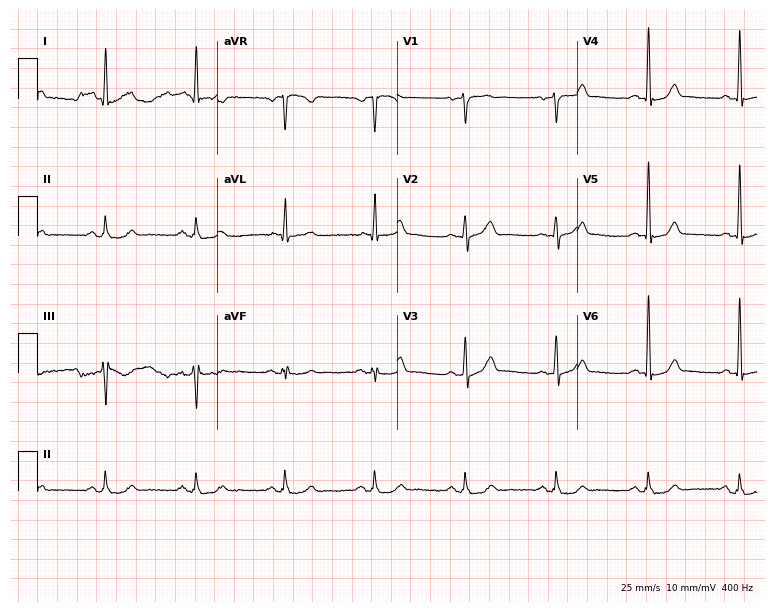
Electrocardiogram, a male patient, 67 years old. Of the six screened findings (first-degree AV block, right bundle branch block, left bundle branch block, sinus bradycardia, atrial fibrillation, sinus tachycardia), none is recorded.